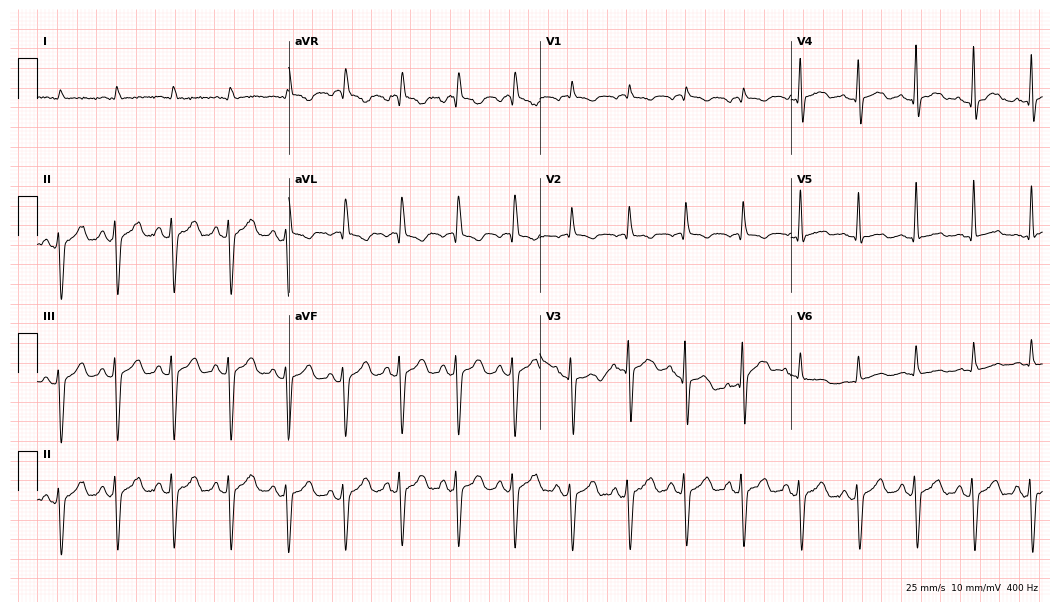
Resting 12-lead electrocardiogram. Patient: a man, 85 years old. None of these six findings is recorded: first-degree AV block, right bundle branch block (RBBB), left bundle branch block (LBBB), sinus bradycardia, atrial fibrillation (AF), sinus tachycardia. Other findings, if any, are not listed.